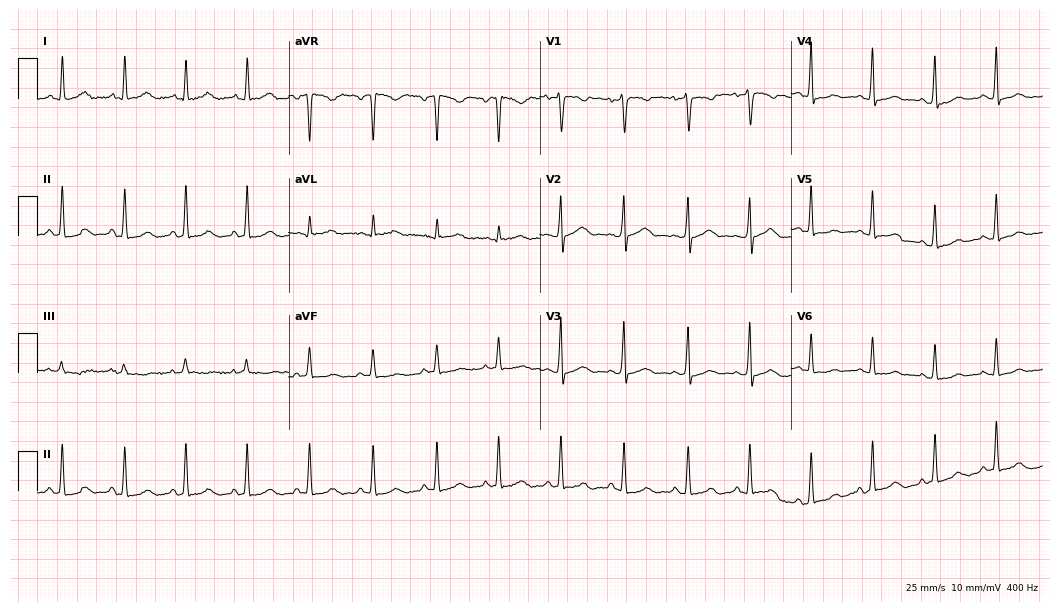
ECG — a 35-year-old female patient. Labelled as a normal ECG.